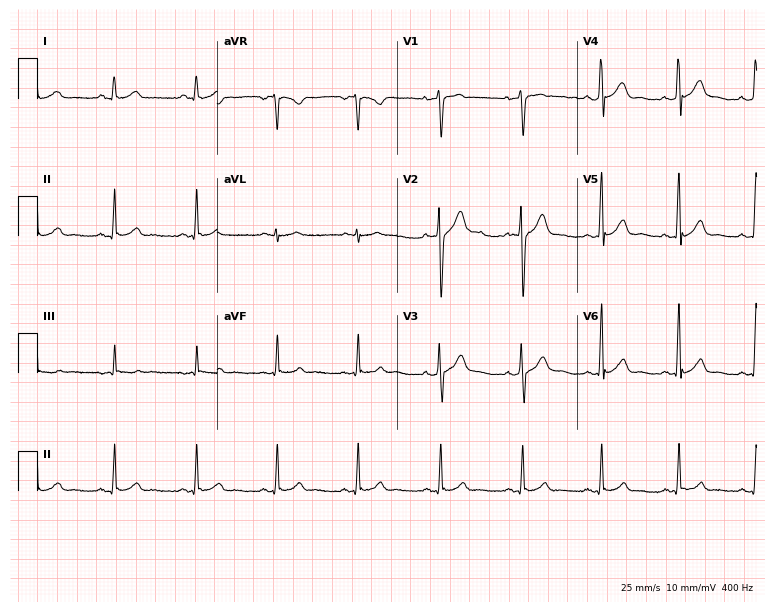
12-lead ECG from a 40-year-old man (7.3-second recording at 400 Hz). Recorded interpretation: within normal limits.